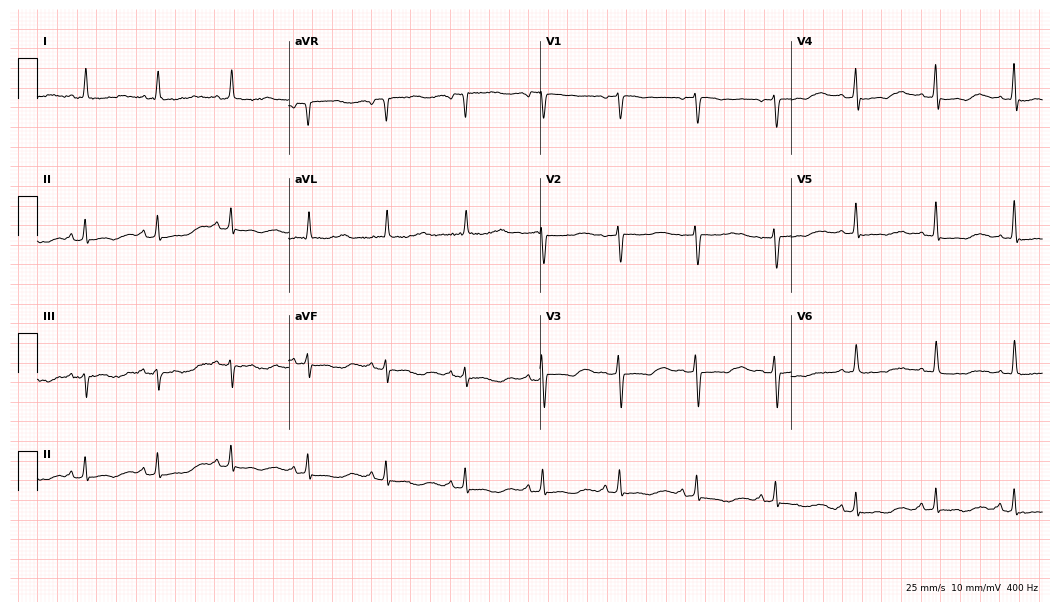
12-lead ECG (10.2-second recording at 400 Hz) from a female patient, 71 years old. Screened for six findings — first-degree AV block, right bundle branch block, left bundle branch block, sinus bradycardia, atrial fibrillation, sinus tachycardia — none is recorded.